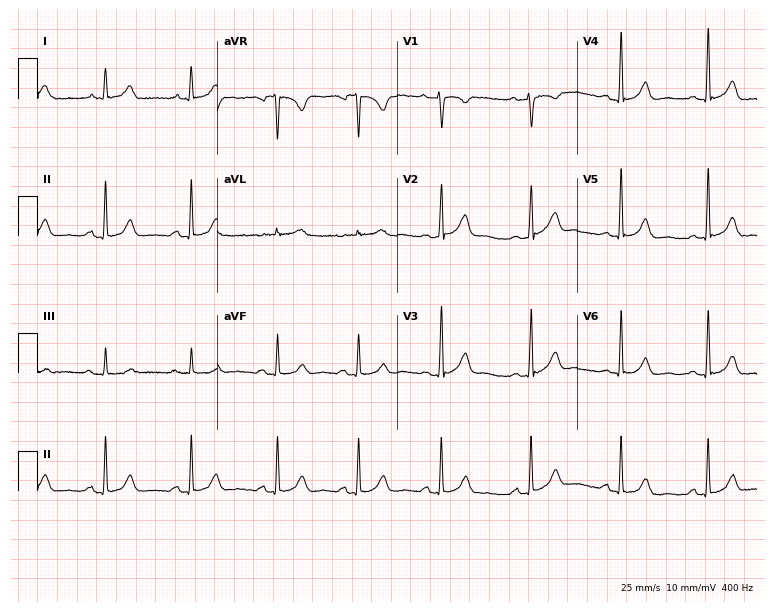
Electrocardiogram, a woman, 38 years old. Of the six screened findings (first-degree AV block, right bundle branch block (RBBB), left bundle branch block (LBBB), sinus bradycardia, atrial fibrillation (AF), sinus tachycardia), none is recorded. Findings outside these six are not listed.